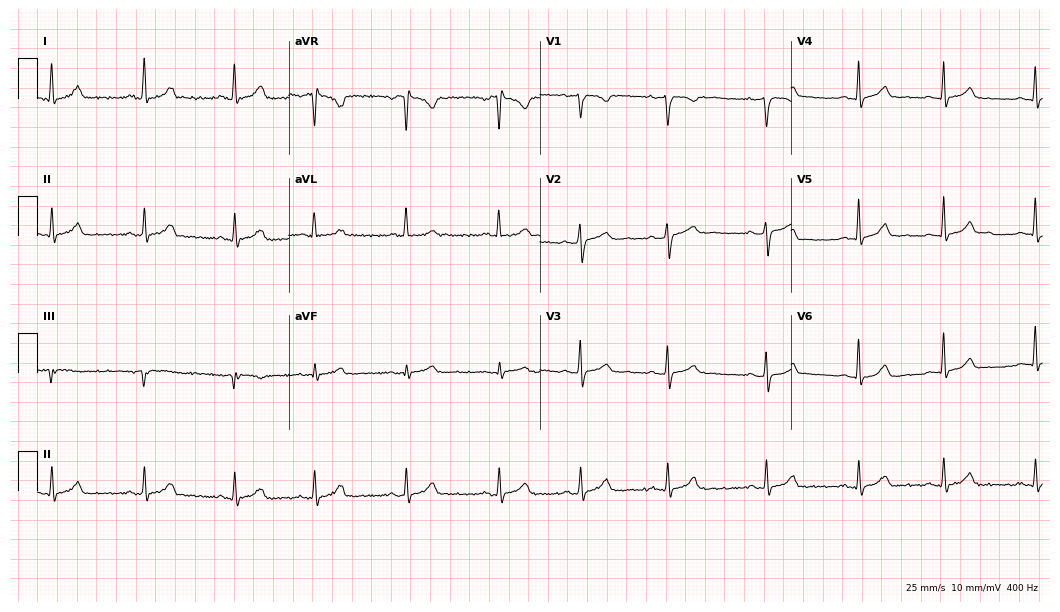
Standard 12-lead ECG recorded from an 18-year-old female. Read as a normal ECG.